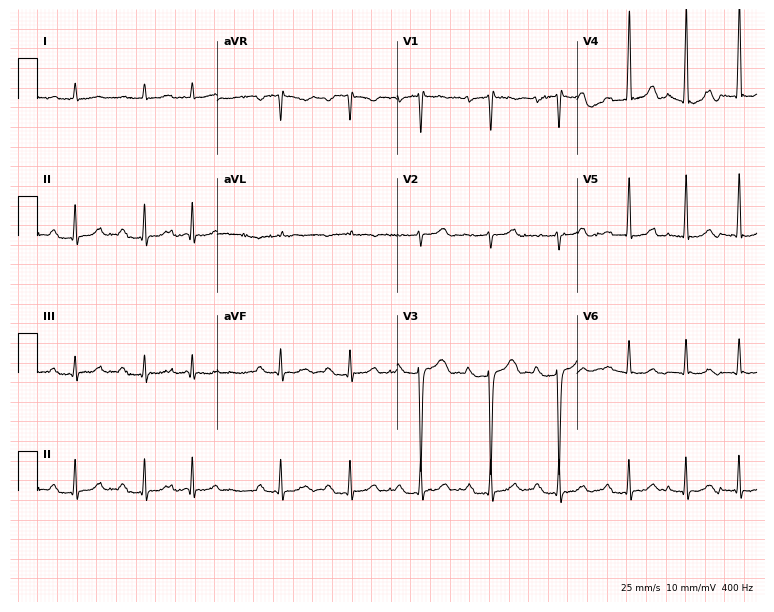
Standard 12-lead ECG recorded from an 81-year-old woman. The tracing shows first-degree AV block.